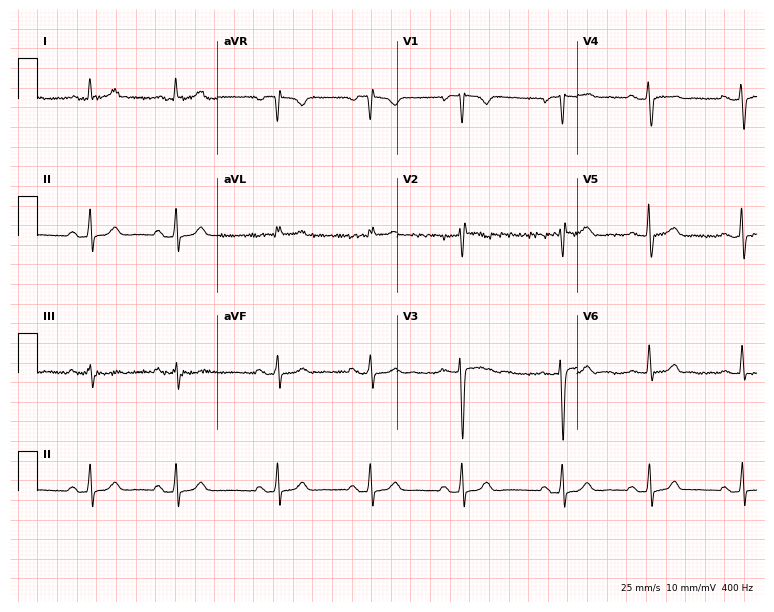
Standard 12-lead ECG recorded from a 30-year-old woman. None of these six findings is recorded: first-degree AV block, right bundle branch block, left bundle branch block, sinus bradycardia, atrial fibrillation, sinus tachycardia.